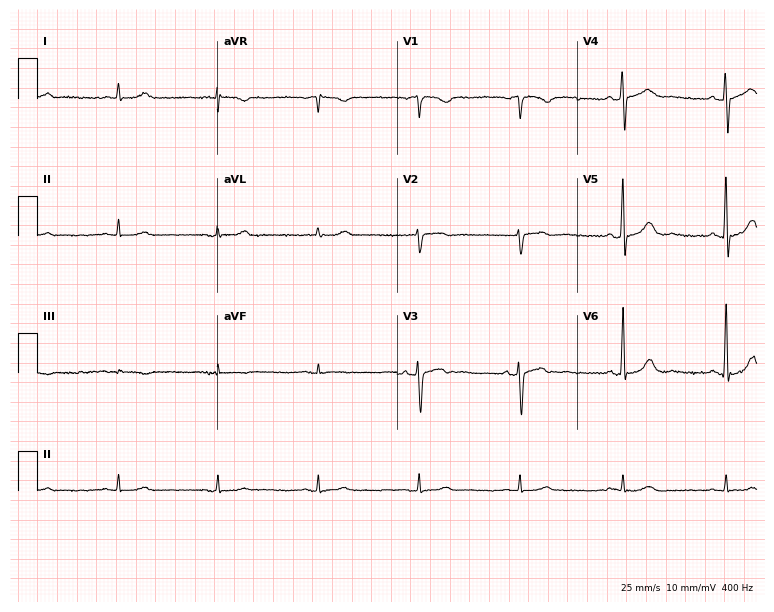
12-lead ECG from a 71-year-old man (7.3-second recording at 400 Hz). Recorded interpretation: within normal limits.